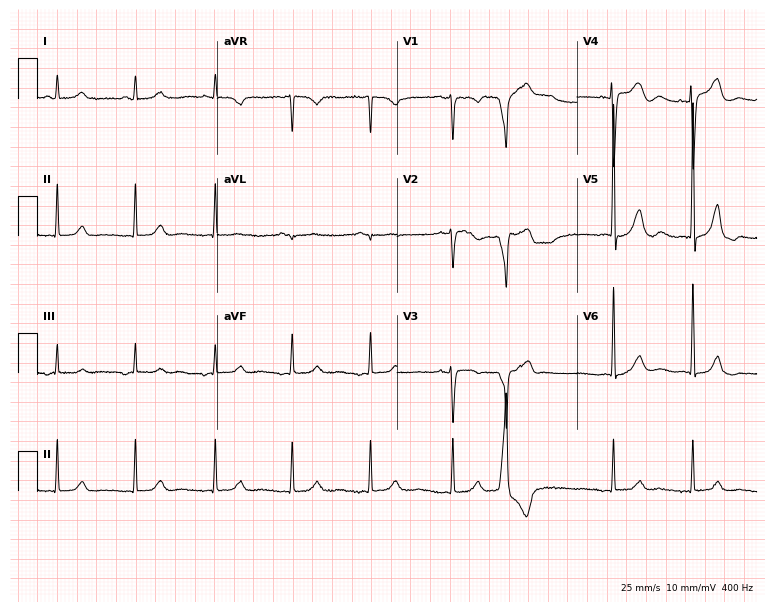
Resting 12-lead electrocardiogram. Patient: a woman, 76 years old. None of these six findings is recorded: first-degree AV block, right bundle branch block (RBBB), left bundle branch block (LBBB), sinus bradycardia, atrial fibrillation (AF), sinus tachycardia.